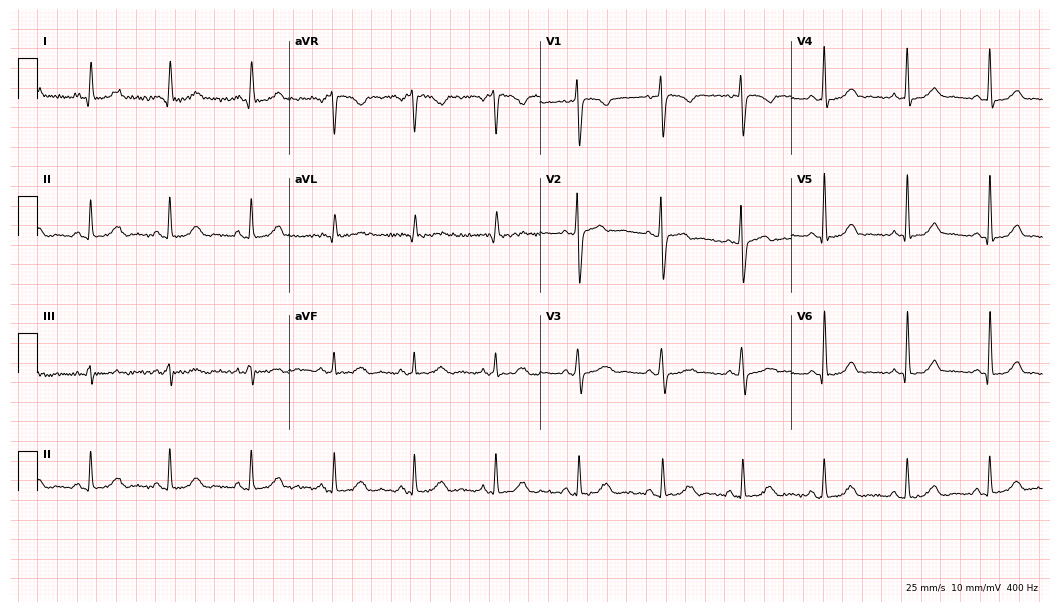
Electrocardiogram, a woman, 40 years old. Overall reading on record: normal ECG.